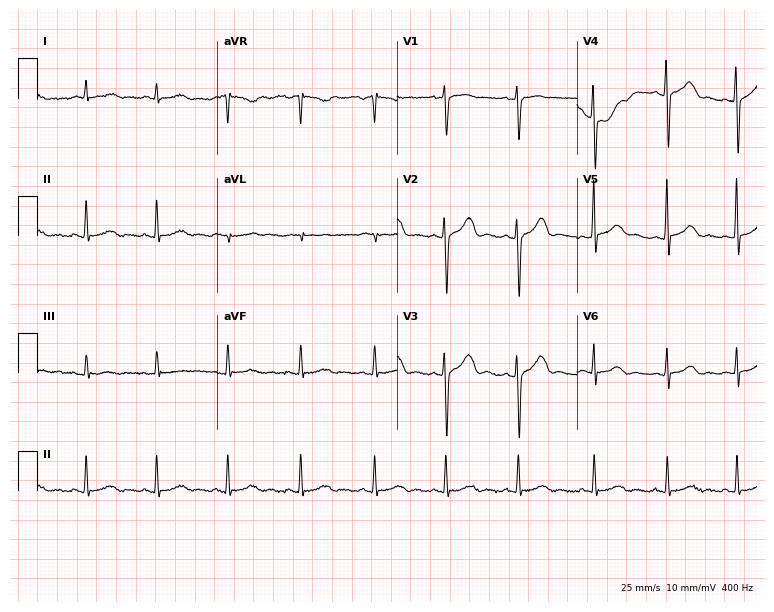
Standard 12-lead ECG recorded from a female, 17 years old (7.3-second recording at 400 Hz). Read as a normal ECG.